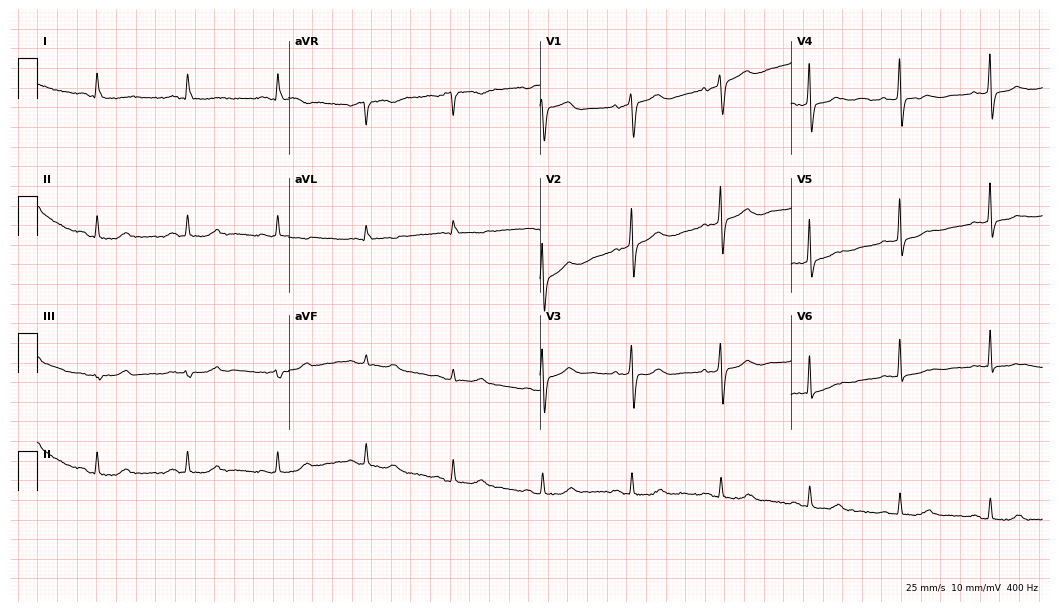
12-lead ECG from a 75-year-old woman. No first-degree AV block, right bundle branch block, left bundle branch block, sinus bradycardia, atrial fibrillation or sinus tachycardia recorded for this tracing. Only these six findings were labelled.